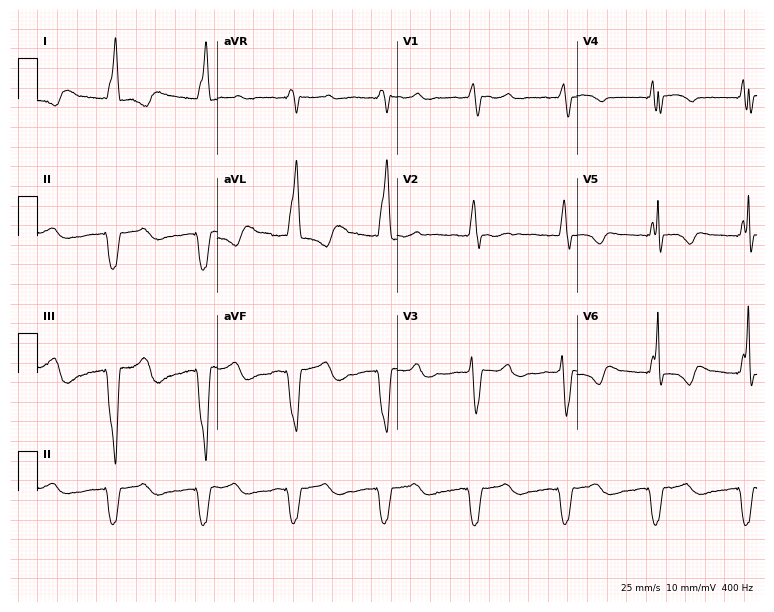
12-lead ECG from a 71-year-old female. Screened for six findings — first-degree AV block, right bundle branch block, left bundle branch block, sinus bradycardia, atrial fibrillation, sinus tachycardia — none is recorded. Findings outside these six are not listed.